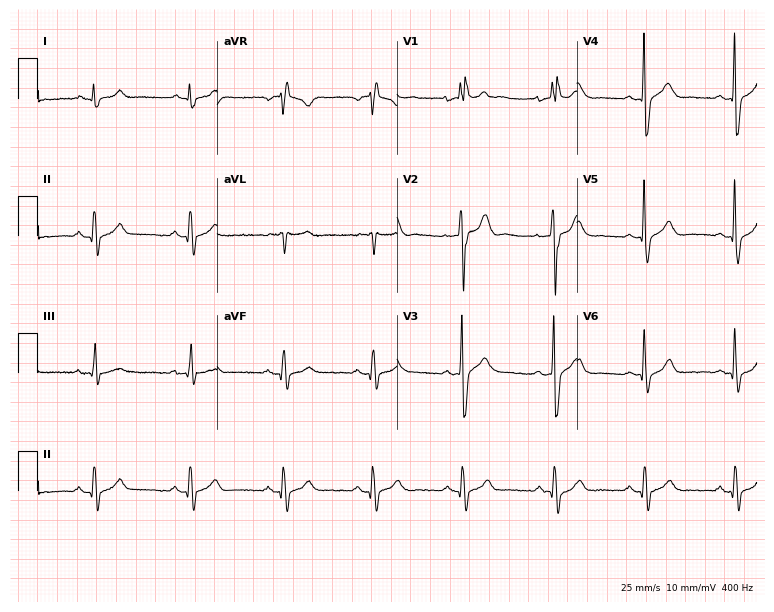
Standard 12-lead ECG recorded from a 35-year-old woman. None of these six findings is recorded: first-degree AV block, right bundle branch block (RBBB), left bundle branch block (LBBB), sinus bradycardia, atrial fibrillation (AF), sinus tachycardia.